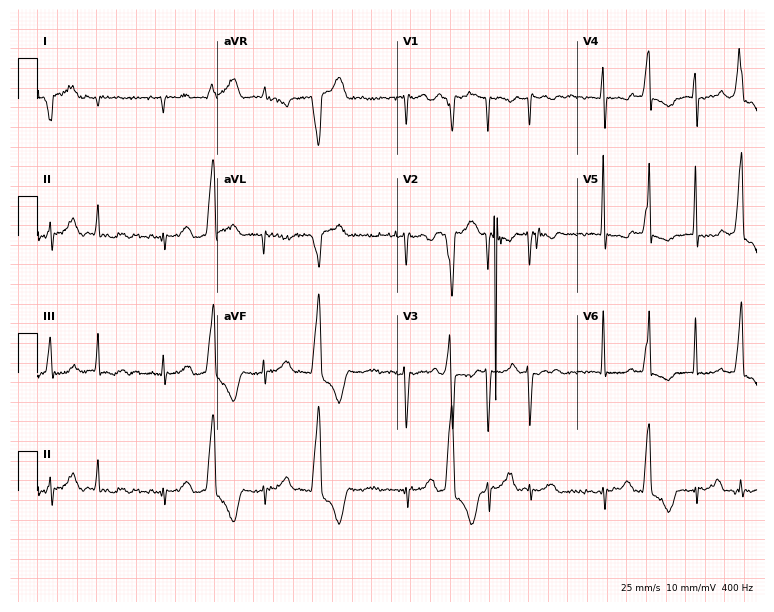
12-lead ECG from a 76-year-old female (7.3-second recording at 400 Hz). No first-degree AV block, right bundle branch block, left bundle branch block, sinus bradycardia, atrial fibrillation or sinus tachycardia recorded for this tracing.